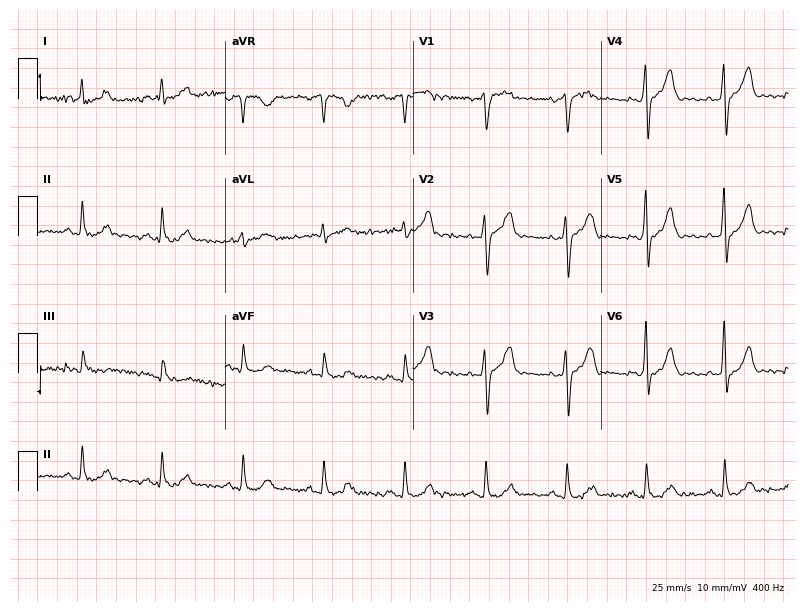
Standard 12-lead ECG recorded from a 58-year-old male patient. Read as a normal ECG.